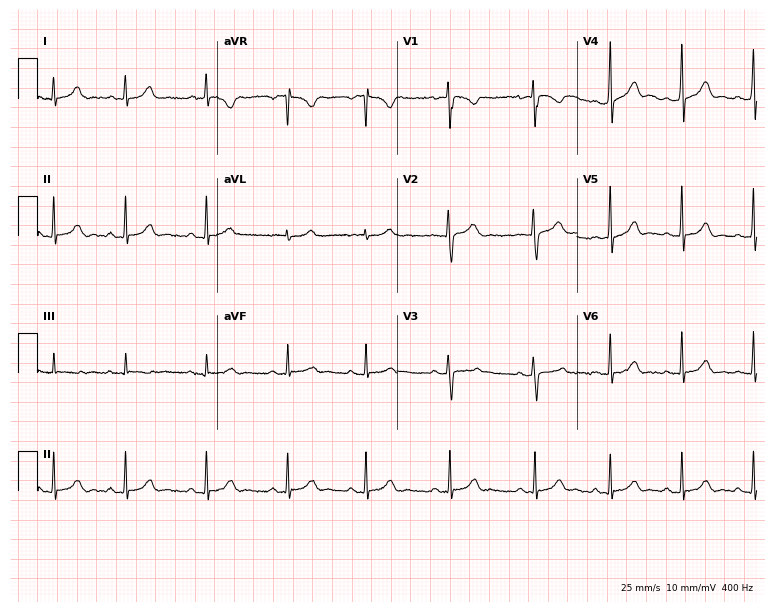
Electrocardiogram (7.3-second recording at 400 Hz), a female patient, 23 years old. Overall reading on record: normal ECG.